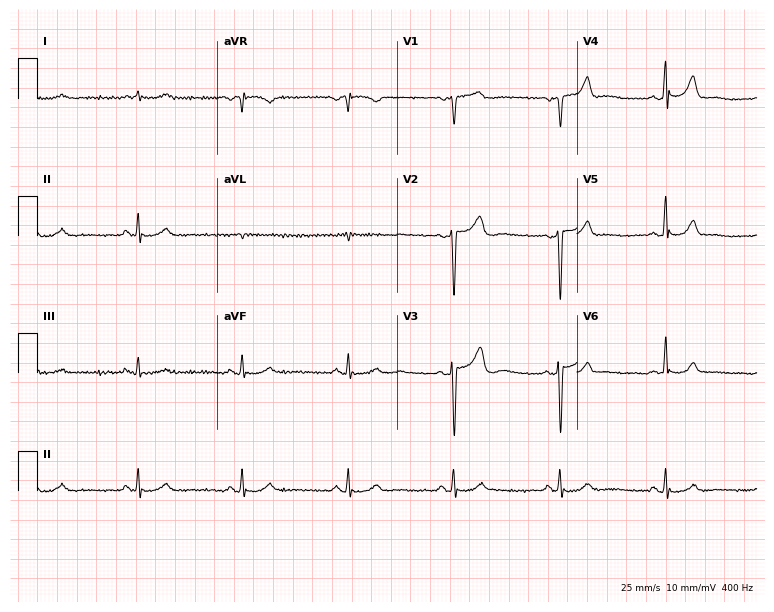
Resting 12-lead electrocardiogram (7.3-second recording at 400 Hz). Patient: a man, 54 years old. Read as a normal ECG.